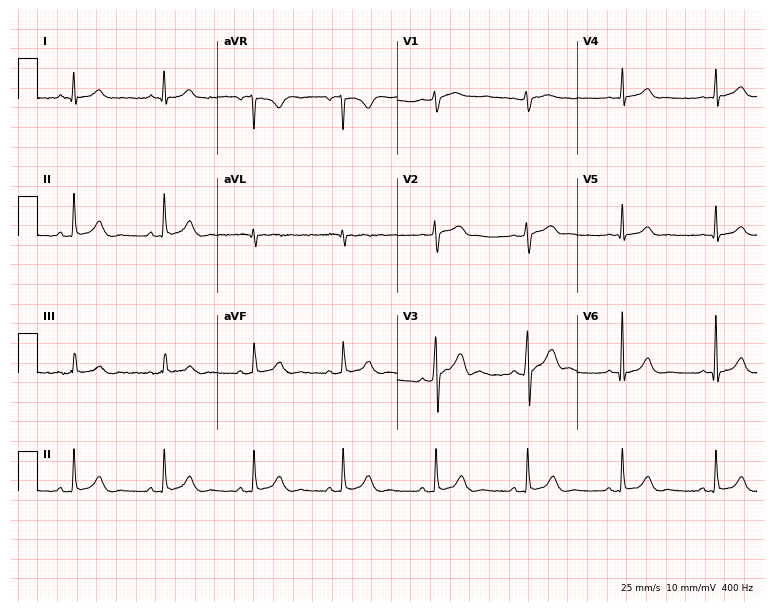
Resting 12-lead electrocardiogram (7.3-second recording at 400 Hz). Patient: a 47-year-old male. None of these six findings is recorded: first-degree AV block, right bundle branch block, left bundle branch block, sinus bradycardia, atrial fibrillation, sinus tachycardia.